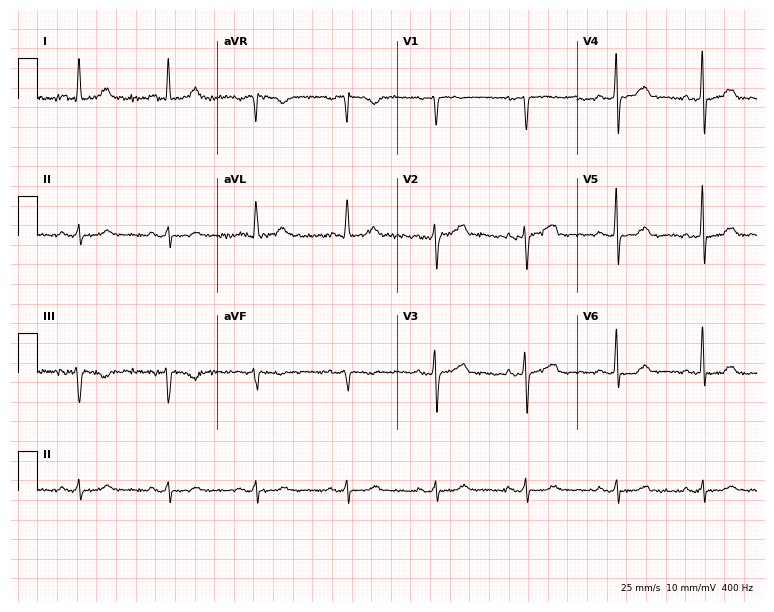
ECG (7.3-second recording at 400 Hz) — a 55-year-old female. Screened for six findings — first-degree AV block, right bundle branch block, left bundle branch block, sinus bradycardia, atrial fibrillation, sinus tachycardia — none is recorded. Only these six findings were labelled.